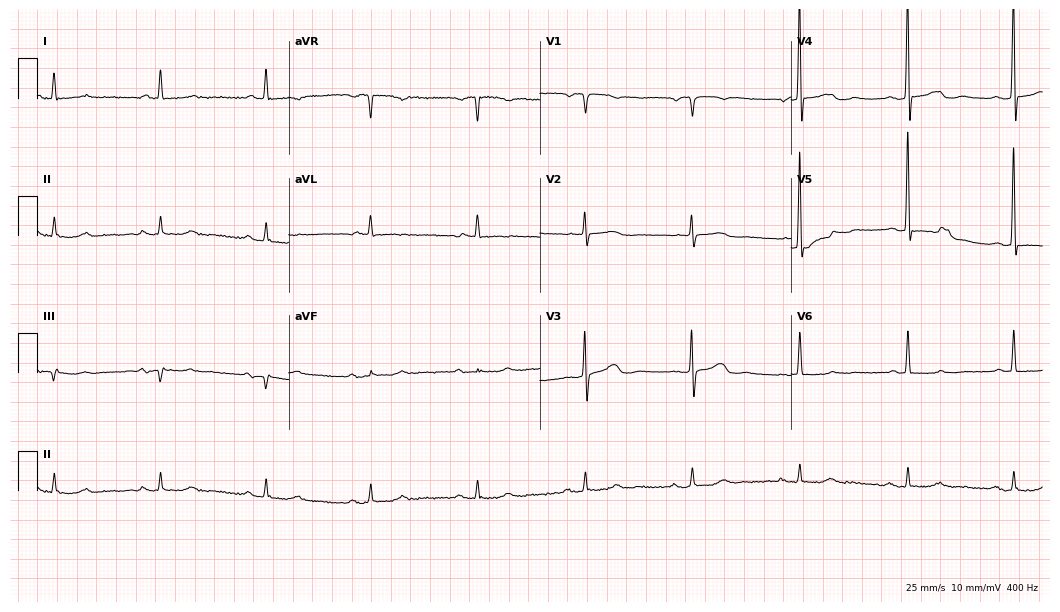
Electrocardiogram (10.2-second recording at 400 Hz), a 78-year-old female patient. Of the six screened findings (first-degree AV block, right bundle branch block (RBBB), left bundle branch block (LBBB), sinus bradycardia, atrial fibrillation (AF), sinus tachycardia), none is recorded.